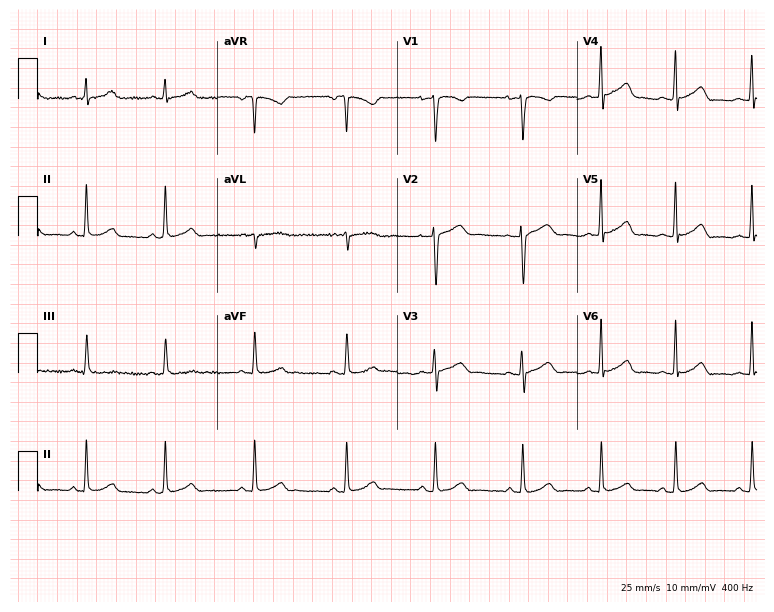
Resting 12-lead electrocardiogram (7.3-second recording at 400 Hz). Patient: a 28-year-old female. Read as a normal ECG.